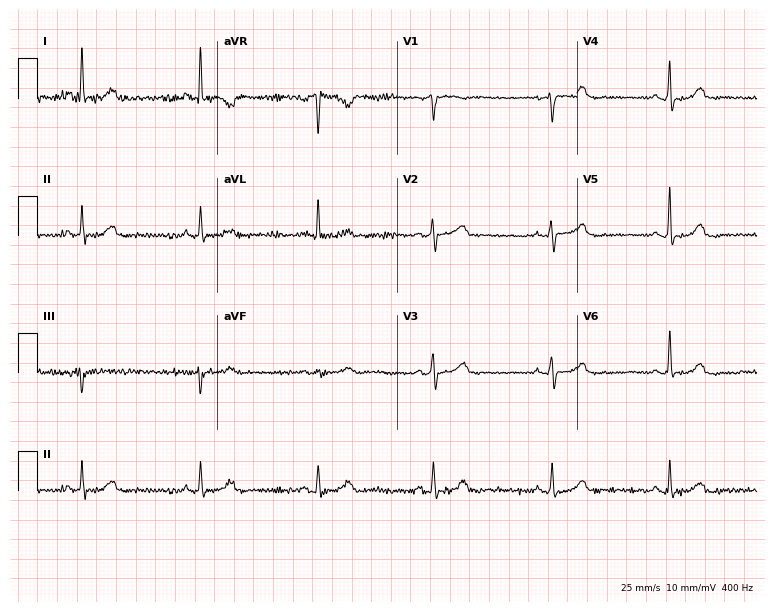
ECG — a female, 57 years old. Findings include sinus bradycardia (a sinus rate of 50 beats per minute or less).